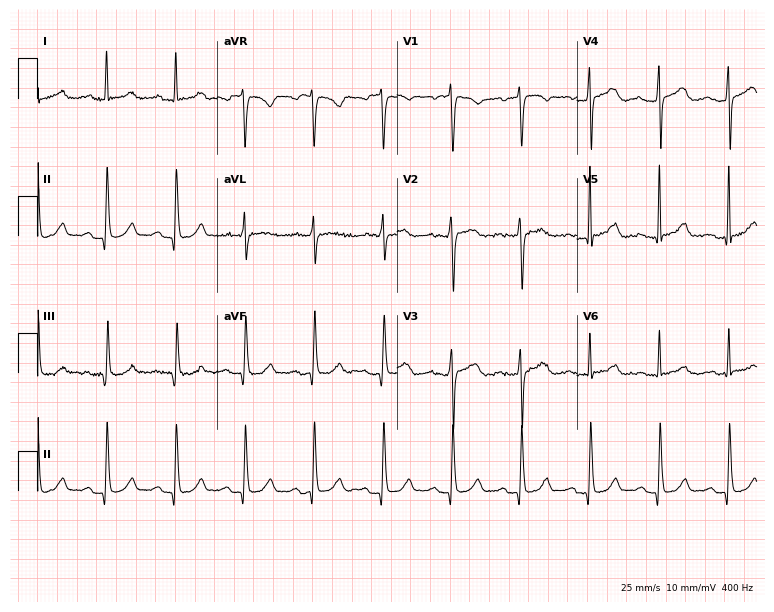
Standard 12-lead ECG recorded from a 53-year-old woman (7.3-second recording at 400 Hz). None of these six findings is recorded: first-degree AV block, right bundle branch block (RBBB), left bundle branch block (LBBB), sinus bradycardia, atrial fibrillation (AF), sinus tachycardia.